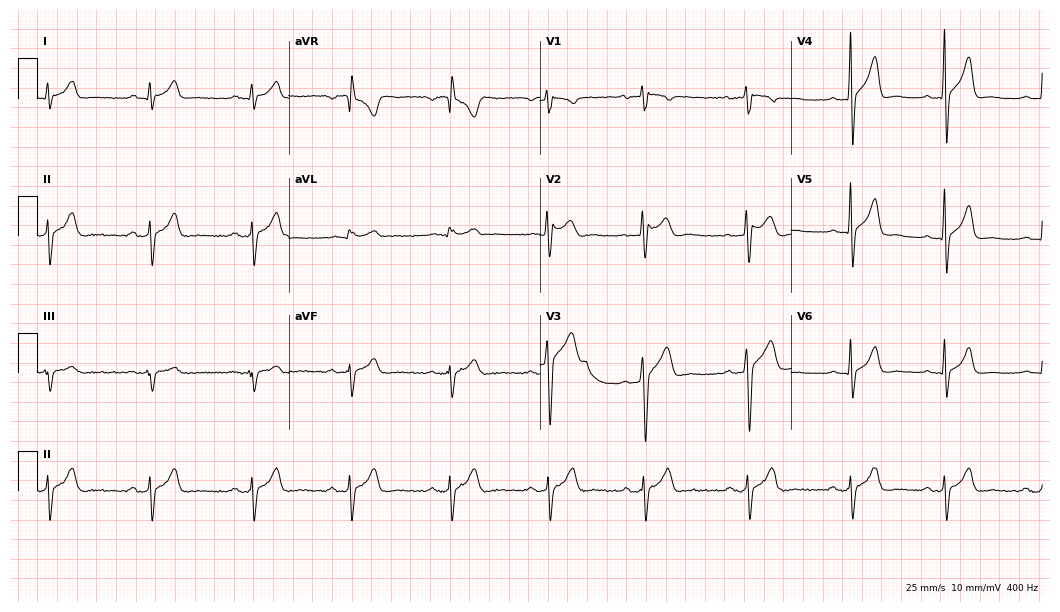
Resting 12-lead electrocardiogram (10.2-second recording at 400 Hz). Patient: a male, 25 years old. None of these six findings is recorded: first-degree AV block, right bundle branch block, left bundle branch block, sinus bradycardia, atrial fibrillation, sinus tachycardia.